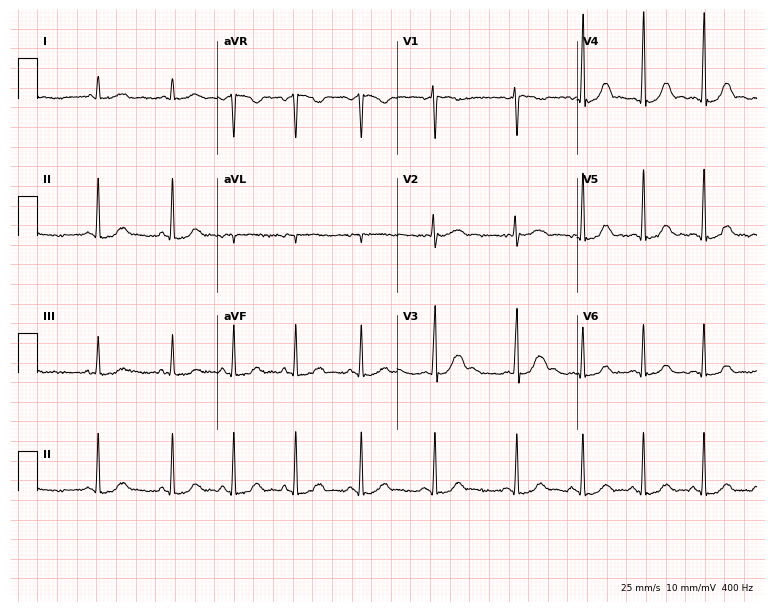
ECG (7.3-second recording at 400 Hz) — a female patient, 20 years old. Labelled as a normal ECG.